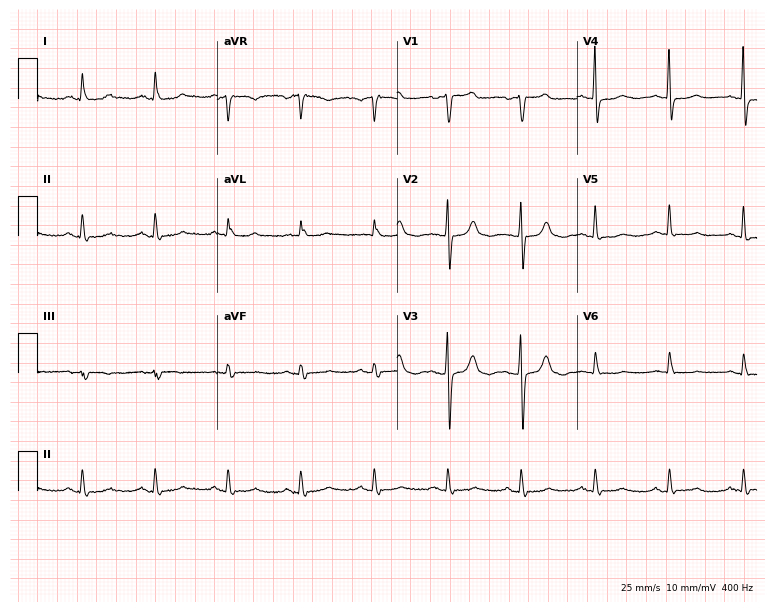
12-lead ECG (7.3-second recording at 400 Hz) from an 85-year-old female. Screened for six findings — first-degree AV block, right bundle branch block, left bundle branch block, sinus bradycardia, atrial fibrillation, sinus tachycardia — none is recorded.